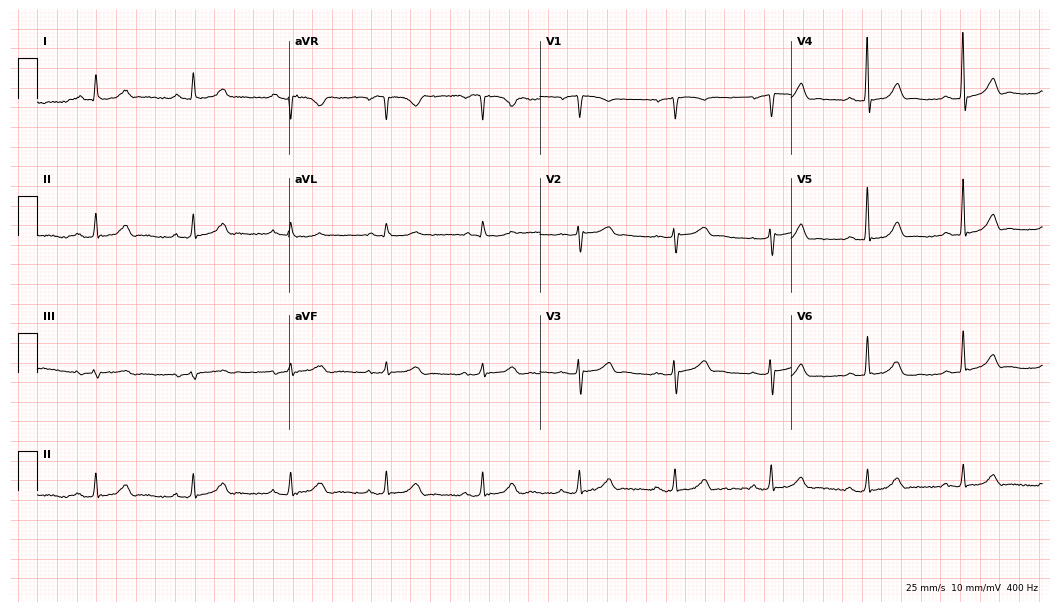
Resting 12-lead electrocardiogram (10.2-second recording at 400 Hz). Patient: a woman, 61 years old. Read as a normal ECG.